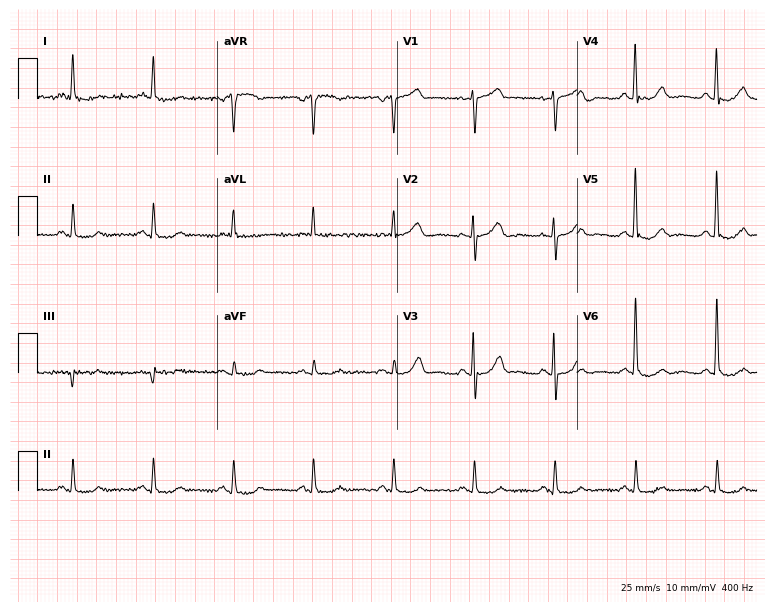
Electrocardiogram (7.3-second recording at 400 Hz), a 68-year-old man. Overall reading on record: normal ECG.